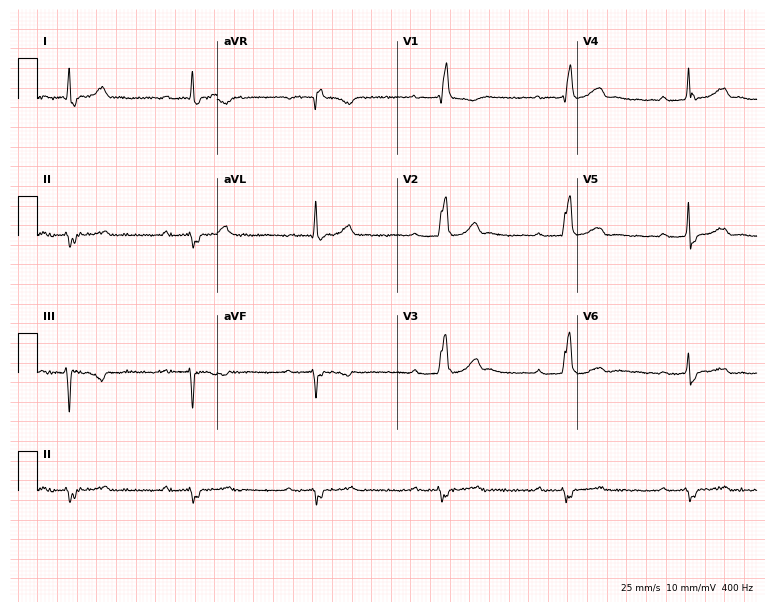
Standard 12-lead ECG recorded from a 56-year-old male patient (7.3-second recording at 400 Hz). The tracing shows first-degree AV block, right bundle branch block, sinus bradycardia (a sinus rate of 50 beats per minute or less).